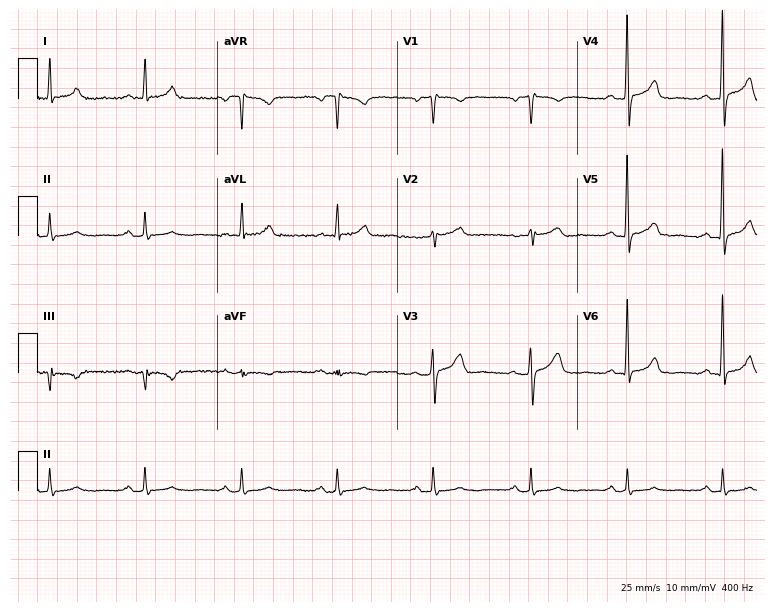
Resting 12-lead electrocardiogram. Patient: a 64-year-old male. Read as a normal ECG.